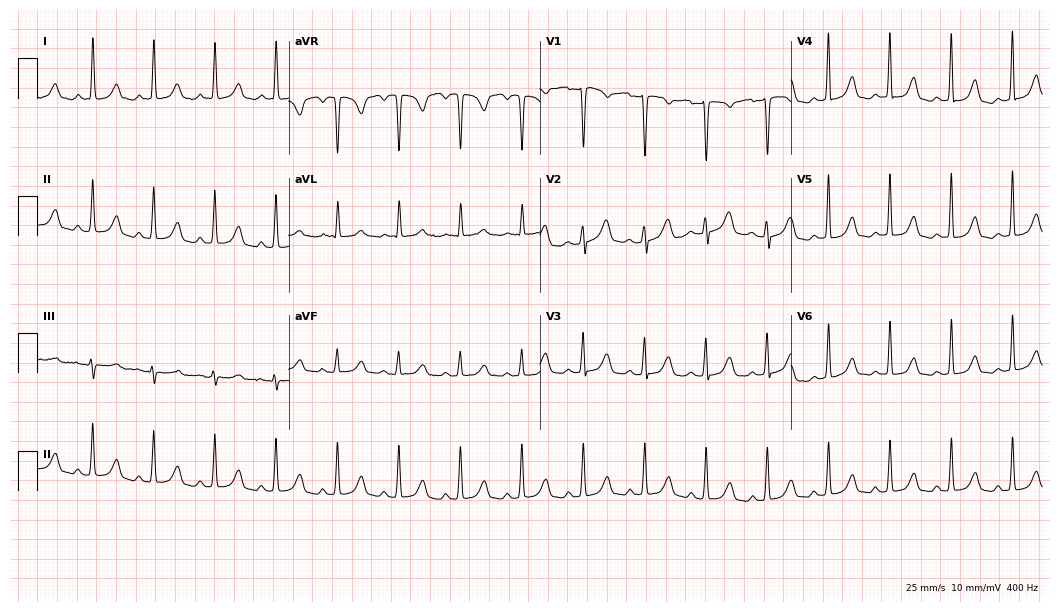
Standard 12-lead ECG recorded from a 65-year-old woman. Read as a normal ECG.